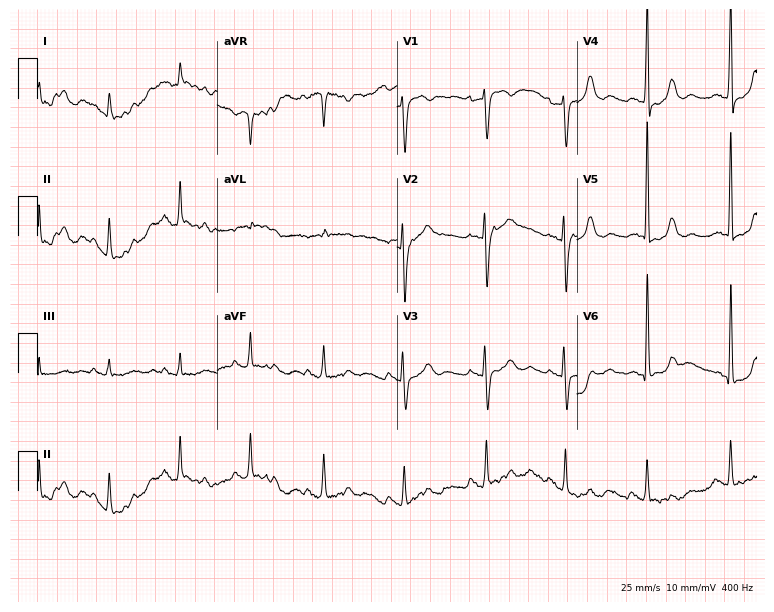
12-lead ECG from a 55-year-old female. Labelled as a normal ECG.